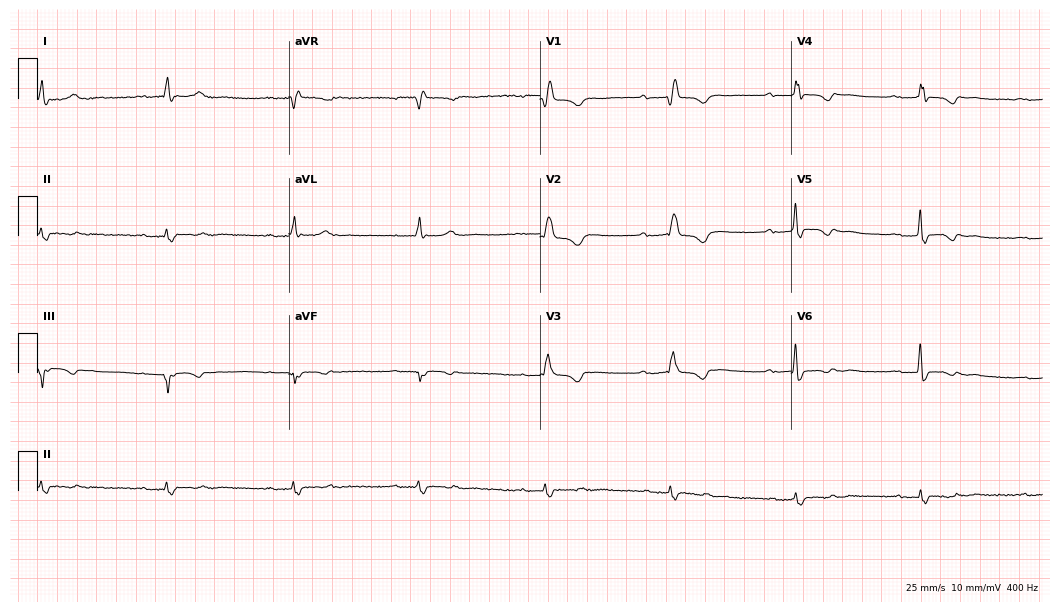
Resting 12-lead electrocardiogram. Patient: a 41-year-old woman. The tracing shows first-degree AV block, right bundle branch block (RBBB).